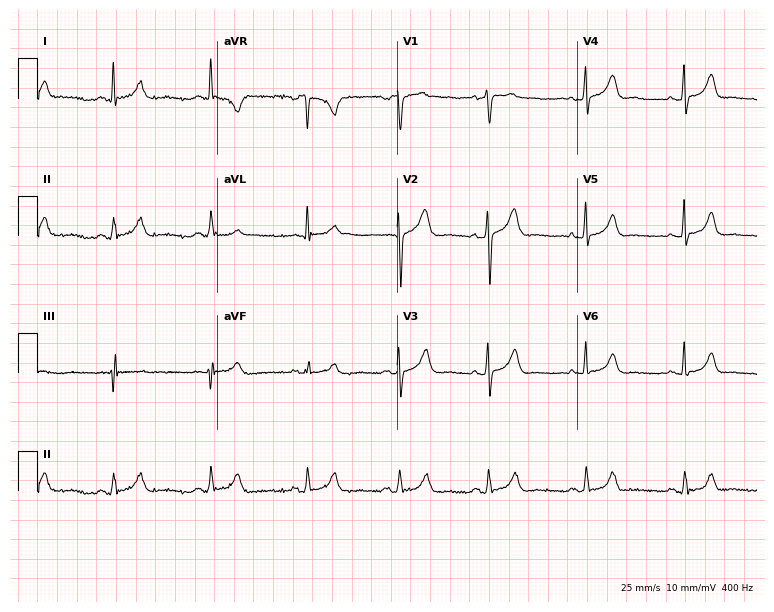
12-lead ECG from a male patient, 49 years old. Recorded interpretation: within normal limits.